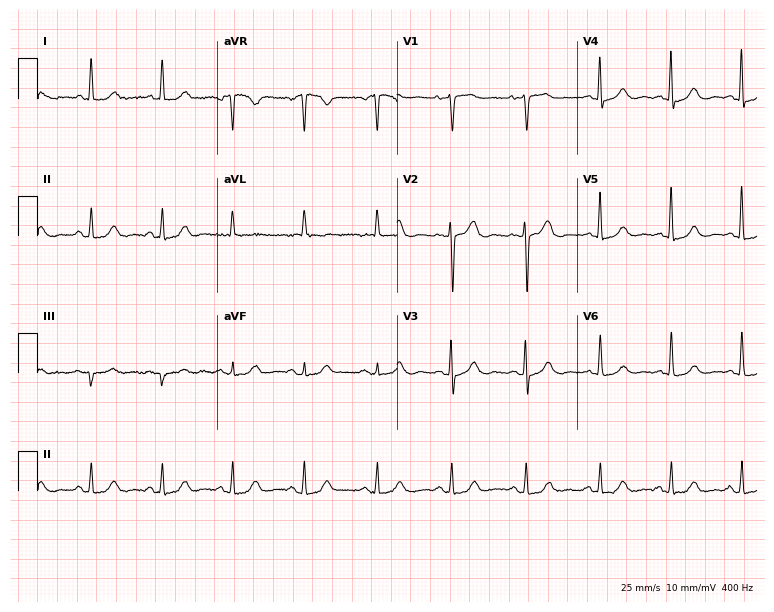
ECG — a woman, 73 years old. Labelled as a normal ECG.